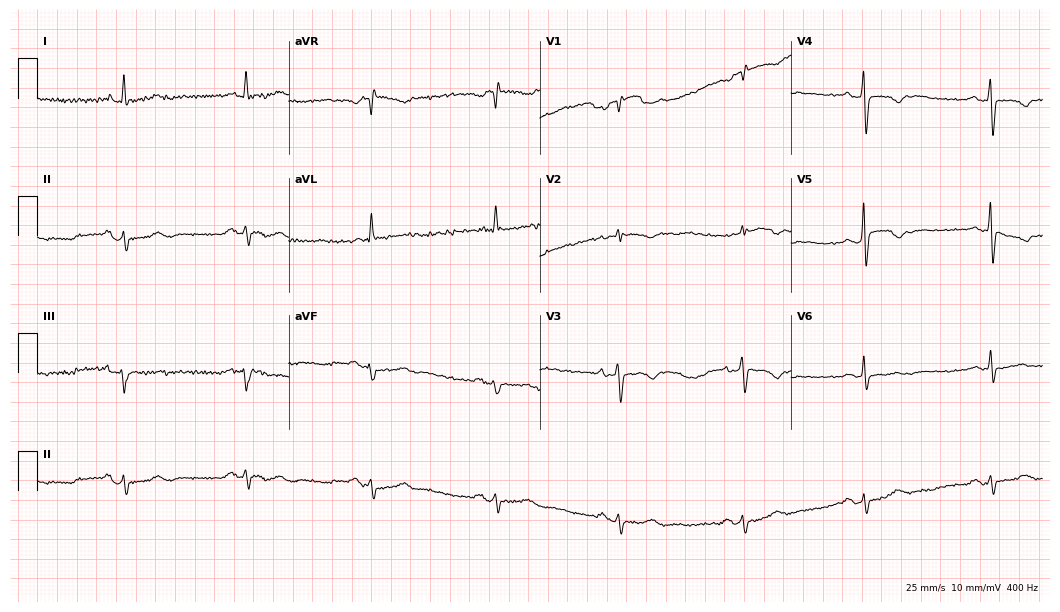
12-lead ECG from a female patient, 75 years old. No first-degree AV block, right bundle branch block, left bundle branch block, sinus bradycardia, atrial fibrillation or sinus tachycardia recorded for this tracing.